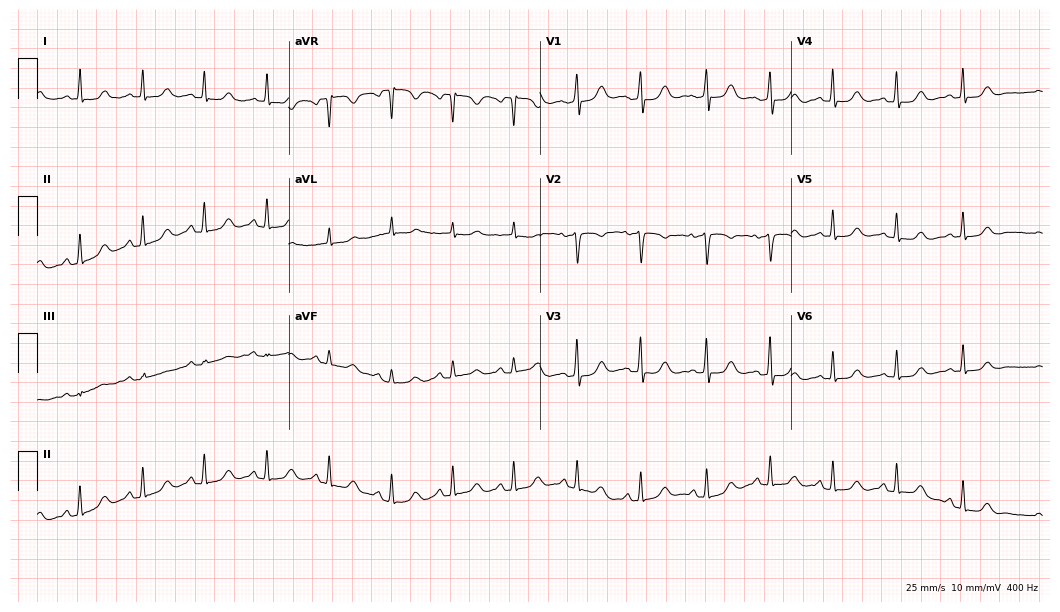
12-lead ECG (10.2-second recording at 400 Hz) from a woman, 52 years old. Labelled as a normal ECG.